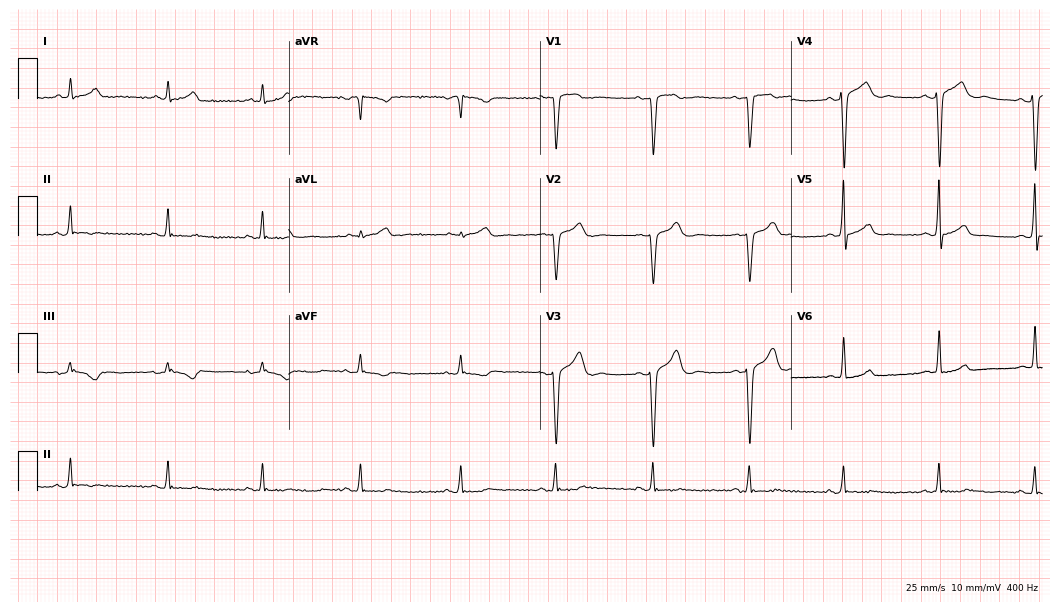
ECG (10.2-second recording at 400 Hz) — a man, 22 years old. Screened for six findings — first-degree AV block, right bundle branch block, left bundle branch block, sinus bradycardia, atrial fibrillation, sinus tachycardia — none is recorded.